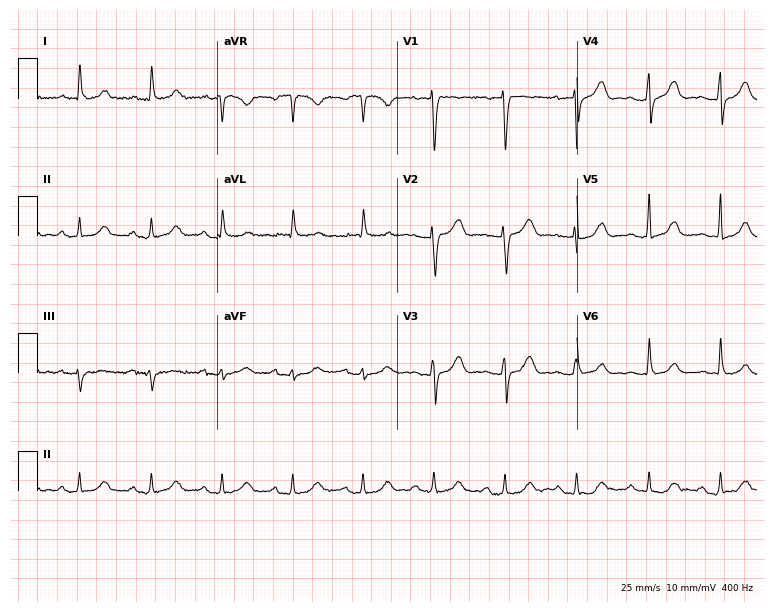
ECG — an 85-year-old woman. Labelled as a normal ECG.